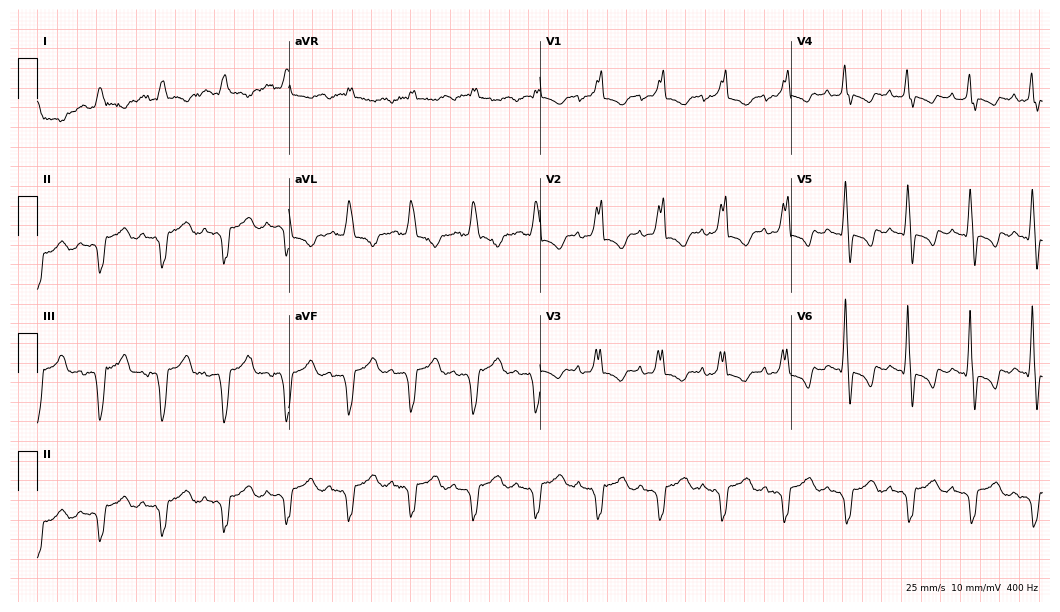
ECG — a male, 68 years old. Findings include right bundle branch block.